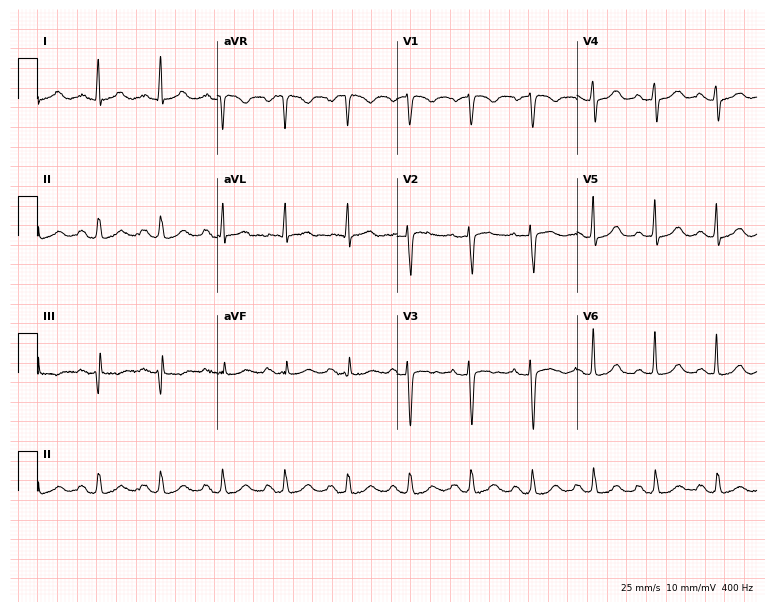
12-lead ECG from a 63-year-old female patient (7.3-second recording at 400 Hz). Recorded interpretation: within normal limits.